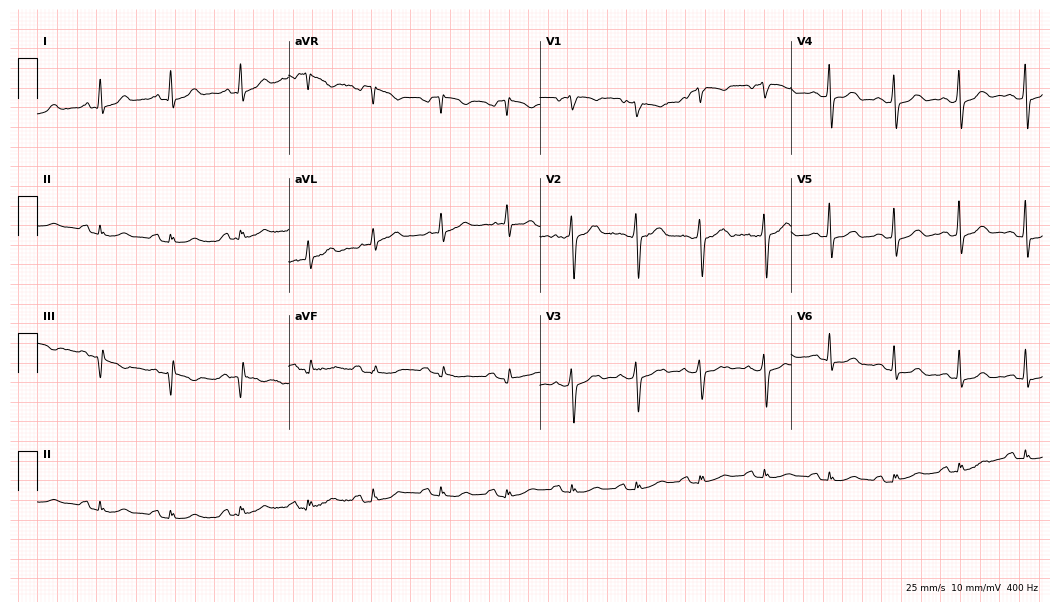
Standard 12-lead ECG recorded from a man, 61 years old. Read as a normal ECG.